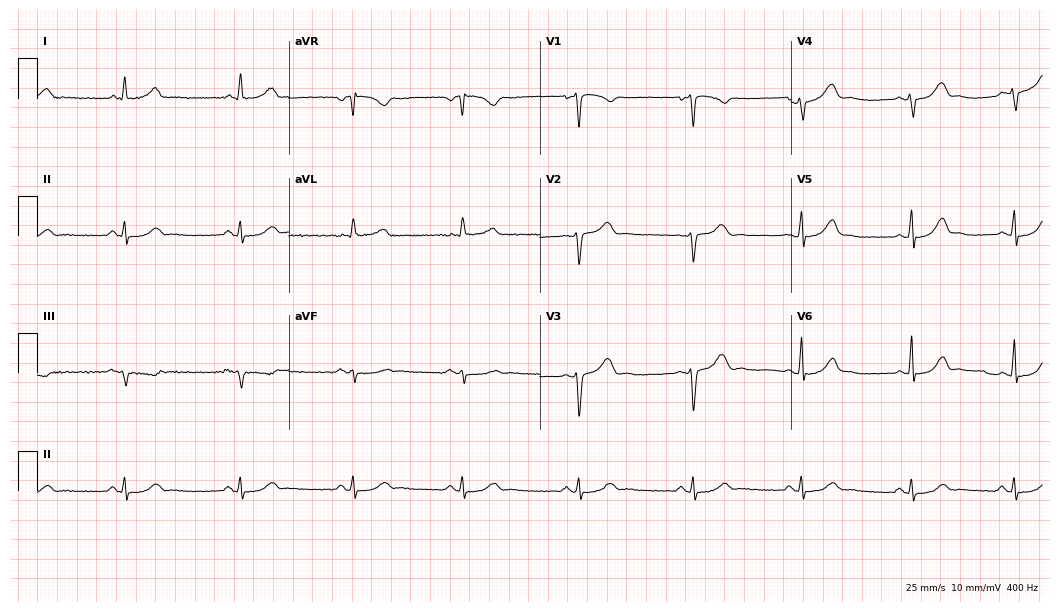
12-lead ECG from a woman, 35 years old. No first-degree AV block, right bundle branch block, left bundle branch block, sinus bradycardia, atrial fibrillation or sinus tachycardia recorded for this tracing. Only these six findings were labelled.